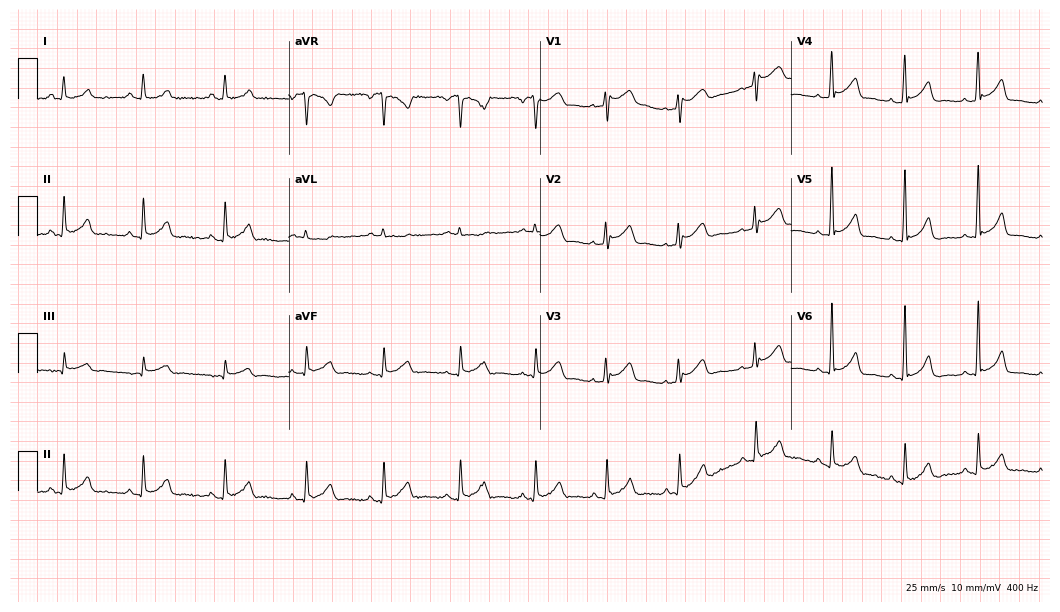
Standard 12-lead ECG recorded from a 42-year-old female patient. None of these six findings is recorded: first-degree AV block, right bundle branch block (RBBB), left bundle branch block (LBBB), sinus bradycardia, atrial fibrillation (AF), sinus tachycardia.